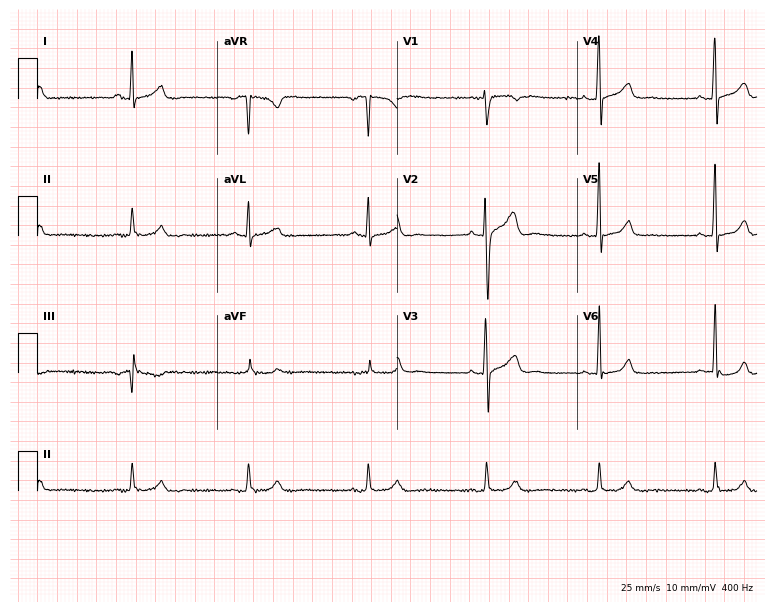
Electrocardiogram, a male patient, 33 years old. Interpretation includes sinus bradycardia (a sinus rate of 50 beats per minute or less).